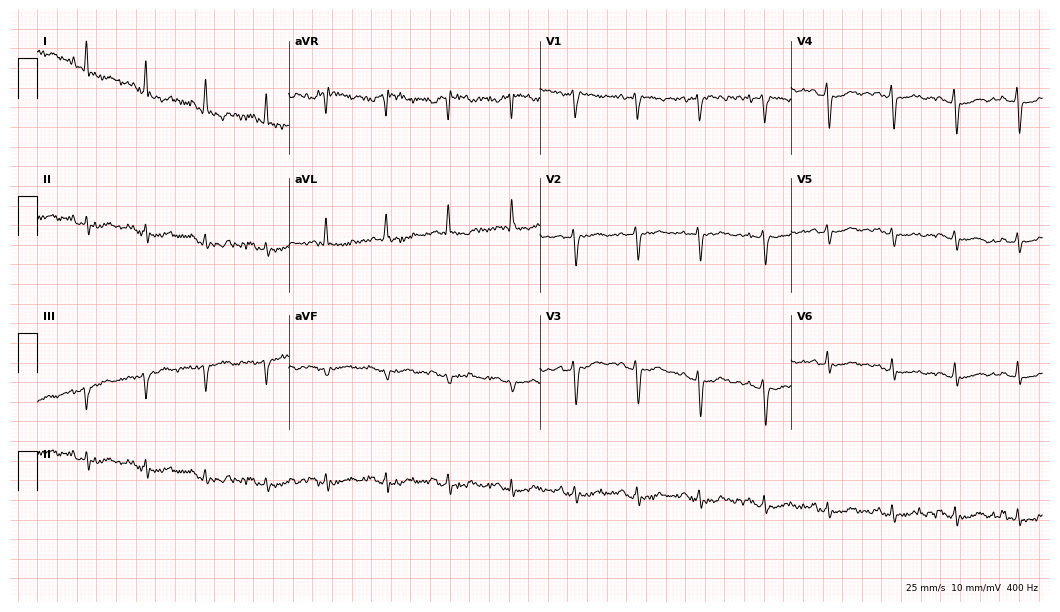
12-lead ECG from a woman, 64 years old (10.2-second recording at 400 Hz). No first-degree AV block, right bundle branch block, left bundle branch block, sinus bradycardia, atrial fibrillation or sinus tachycardia recorded for this tracing. Other findings, if any, are not listed.